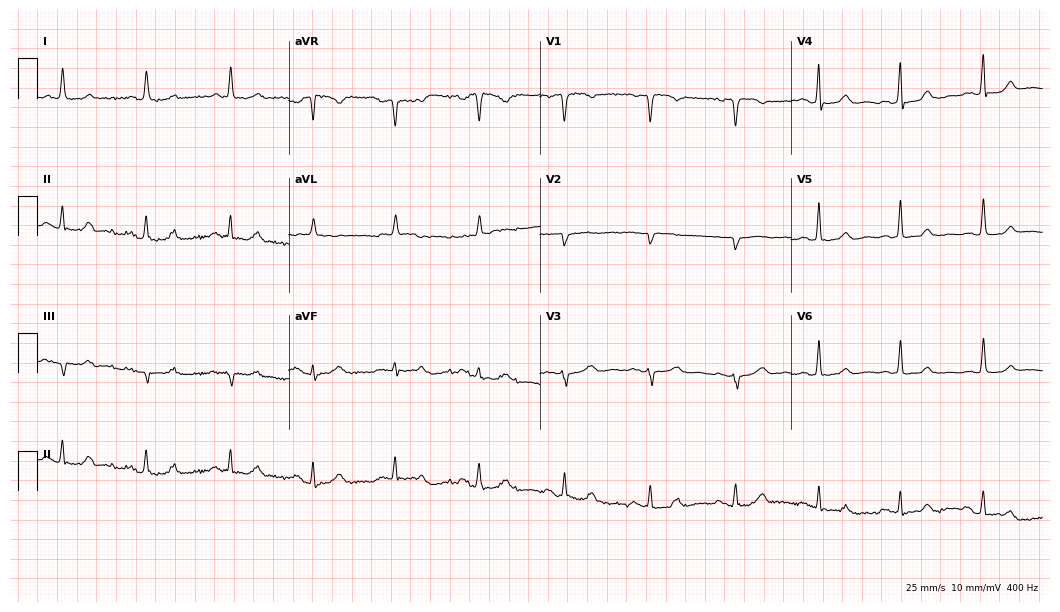
Standard 12-lead ECG recorded from a 71-year-old woman (10.2-second recording at 400 Hz). None of these six findings is recorded: first-degree AV block, right bundle branch block (RBBB), left bundle branch block (LBBB), sinus bradycardia, atrial fibrillation (AF), sinus tachycardia.